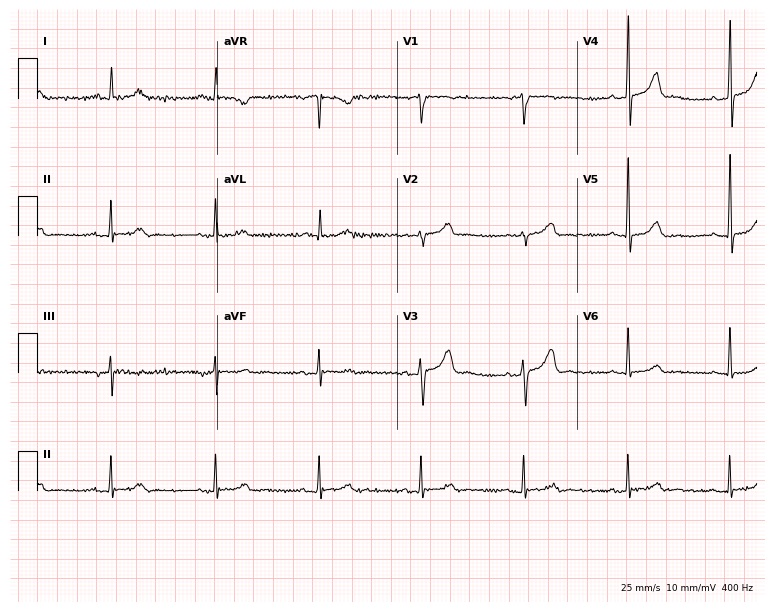
12-lead ECG from a male, 65 years old. Labelled as a normal ECG.